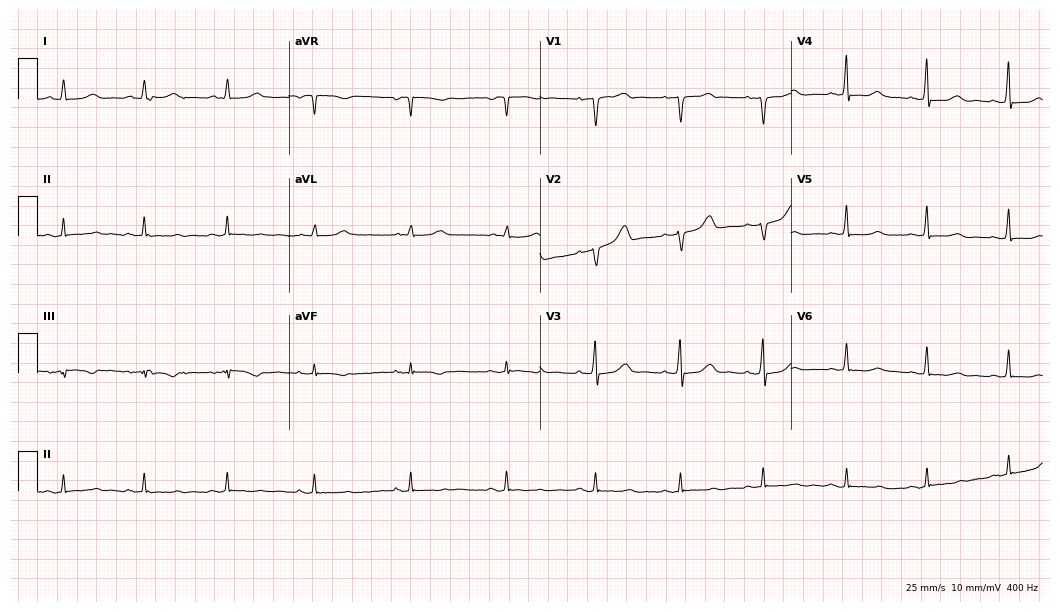
Resting 12-lead electrocardiogram (10.2-second recording at 400 Hz). Patient: a 68-year-old woman. None of these six findings is recorded: first-degree AV block, right bundle branch block (RBBB), left bundle branch block (LBBB), sinus bradycardia, atrial fibrillation (AF), sinus tachycardia.